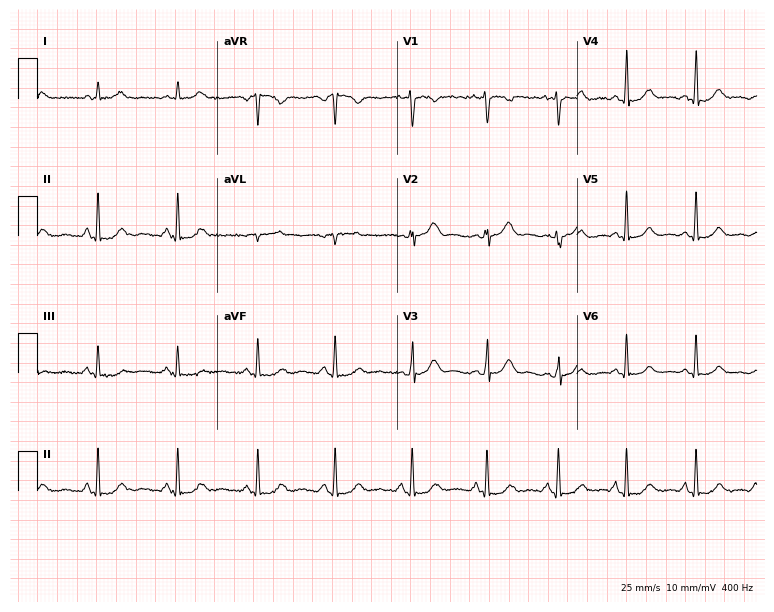
Resting 12-lead electrocardiogram (7.3-second recording at 400 Hz). Patient: a female, 38 years old. None of these six findings is recorded: first-degree AV block, right bundle branch block, left bundle branch block, sinus bradycardia, atrial fibrillation, sinus tachycardia. Other findings, if any, are not listed.